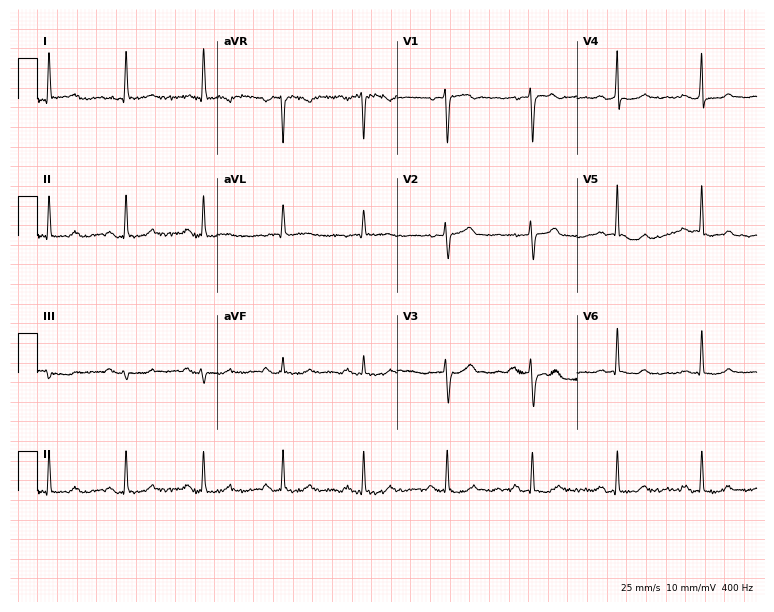
Resting 12-lead electrocardiogram (7.3-second recording at 400 Hz). Patient: a woman, 51 years old. None of these six findings is recorded: first-degree AV block, right bundle branch block, left bundle branch block, sinus bradycardia, atrial fibrillation, sinus tachycardia. Other findings, if any, are not listed.